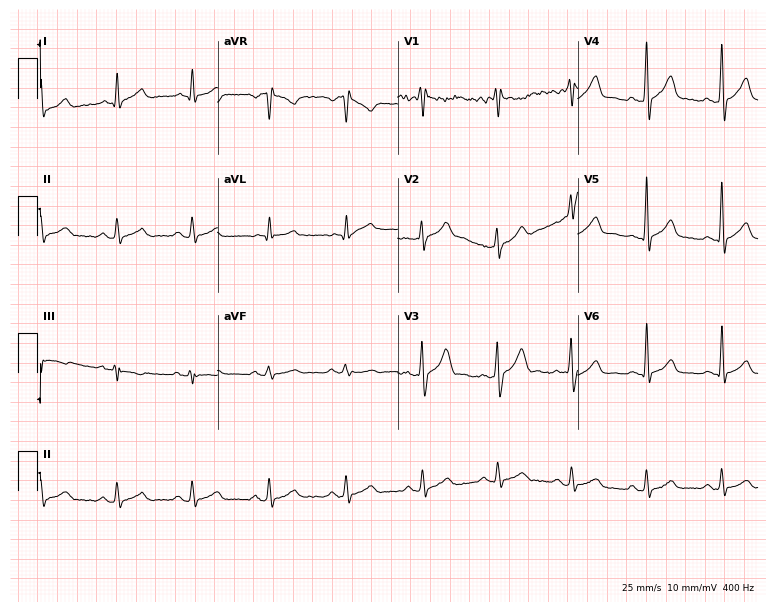
Resting 12-lead electrocardiogram. Patient: a 44-year-old man. Read as a normal ECG.